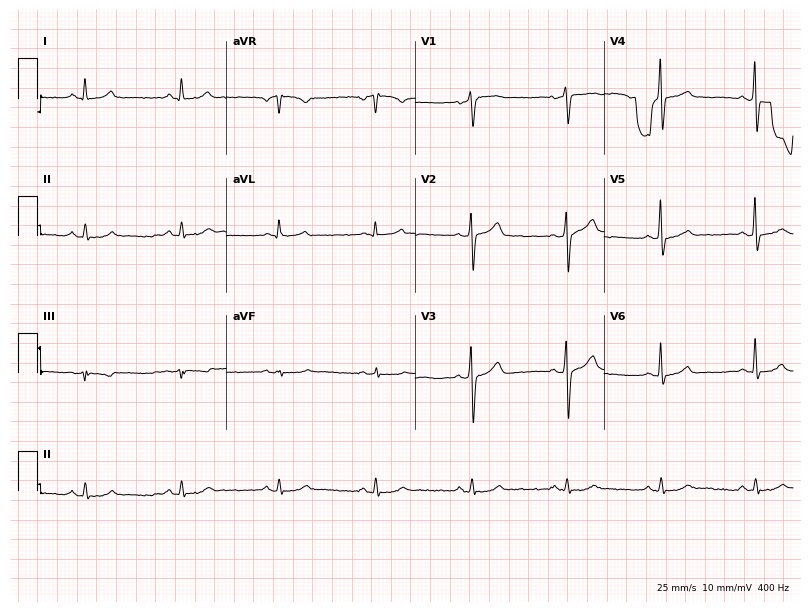
Electrocardiogram, a man, 56 years old. Overall reading on record: normal ECG.